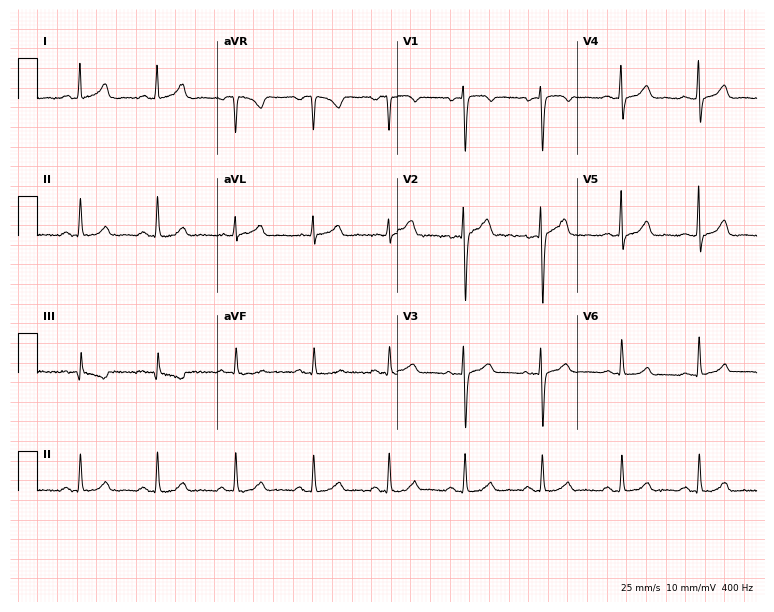
Electrocardiogram, a female, 44 years old. Overall reading on record: normal ECG.